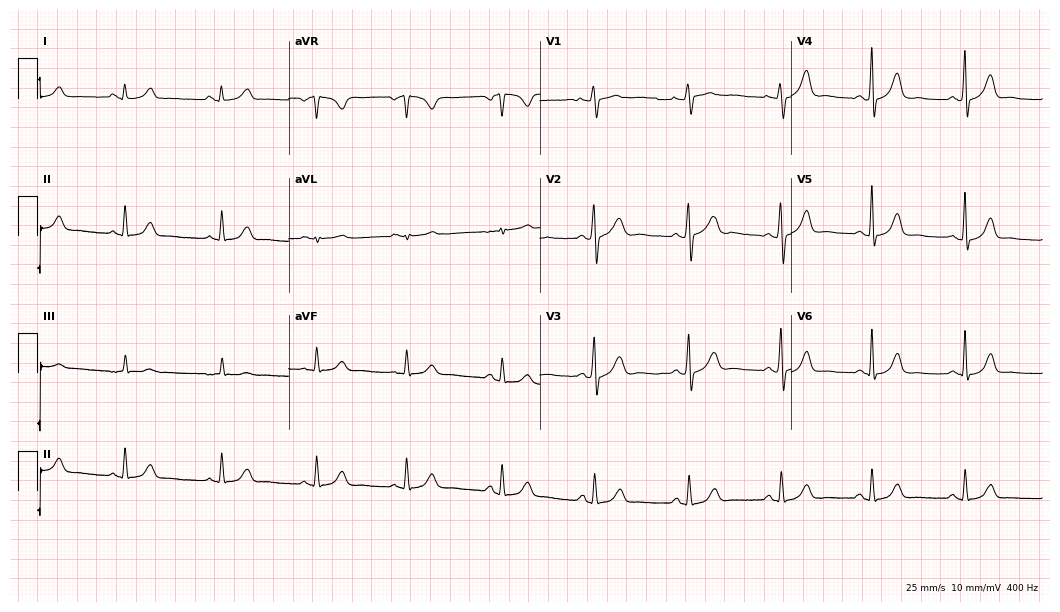
Electrocardiogram (10.2-second recording at 400 Hz), a female, 26 years old. Overall reading on record: normal ECG.